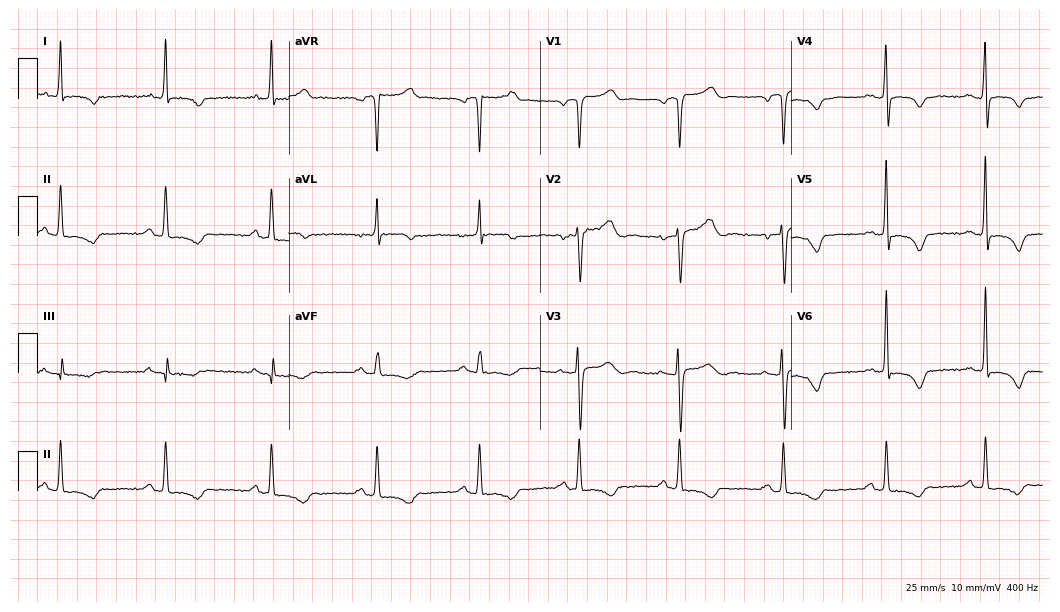
Resting 12-lead electrocardiogram. Patient: a 74-year-old female. None of these six findings is recorded: first-degree AV block, right bundle branch block (RBBB), left bundle branch block (LBBB), sinus bradycardia, atrial fibrillation (AF), sinus tachycardia. Other findings, if any, are not listed.